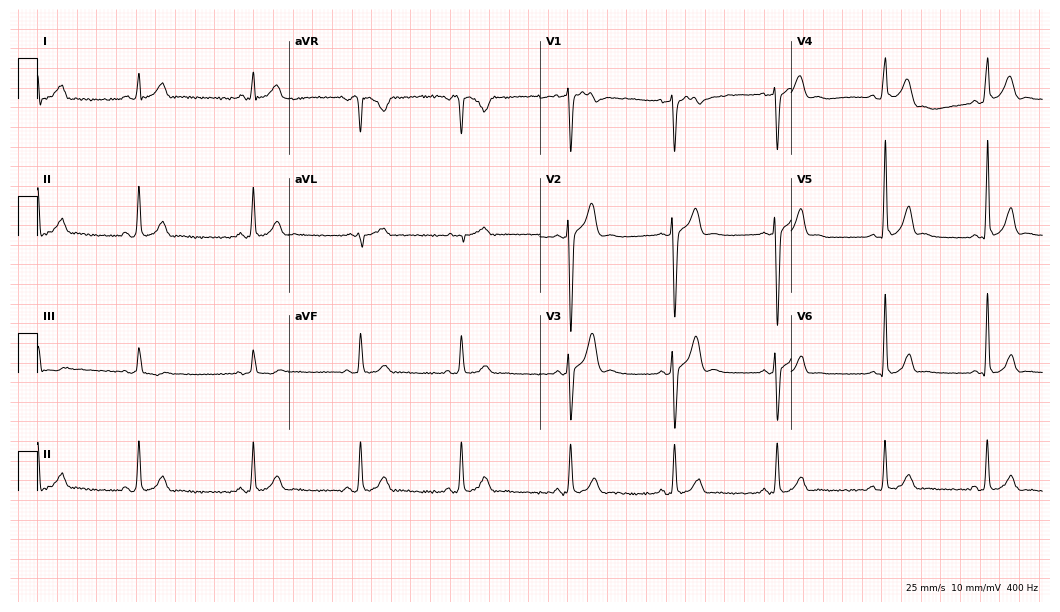
12-lead ECG from a 20-year-old male. Recorded interpretation: within normal limits.